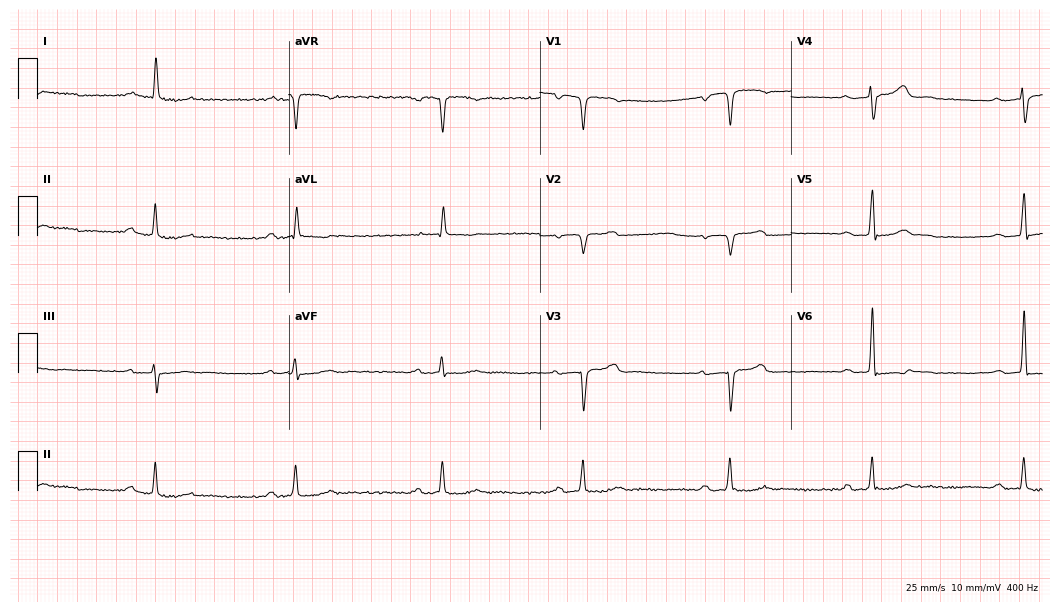
12-lead ECG from an 82-year-old female patient. Findings include first-degree AV block.